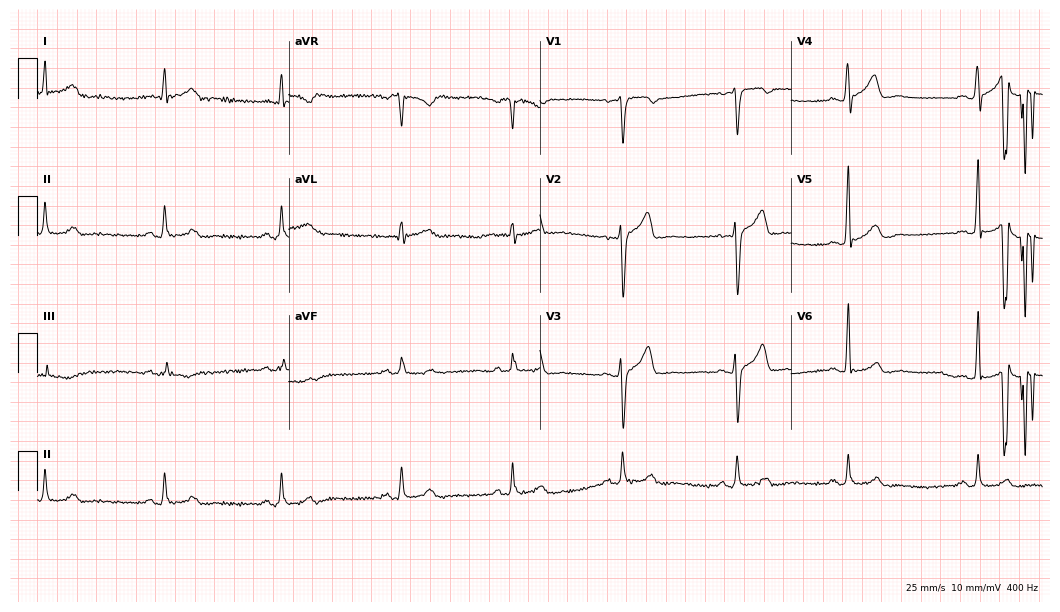
12-lead ECG from a man, 36 years old. No first-degree AV block, right bundle branch block (RBBB), left bundle branch block (LBBB), sinus bradycardia, atrial fibrillation (AF) or sinus tachycardia recorded for this tracing. Other findings, if any, are not listed.